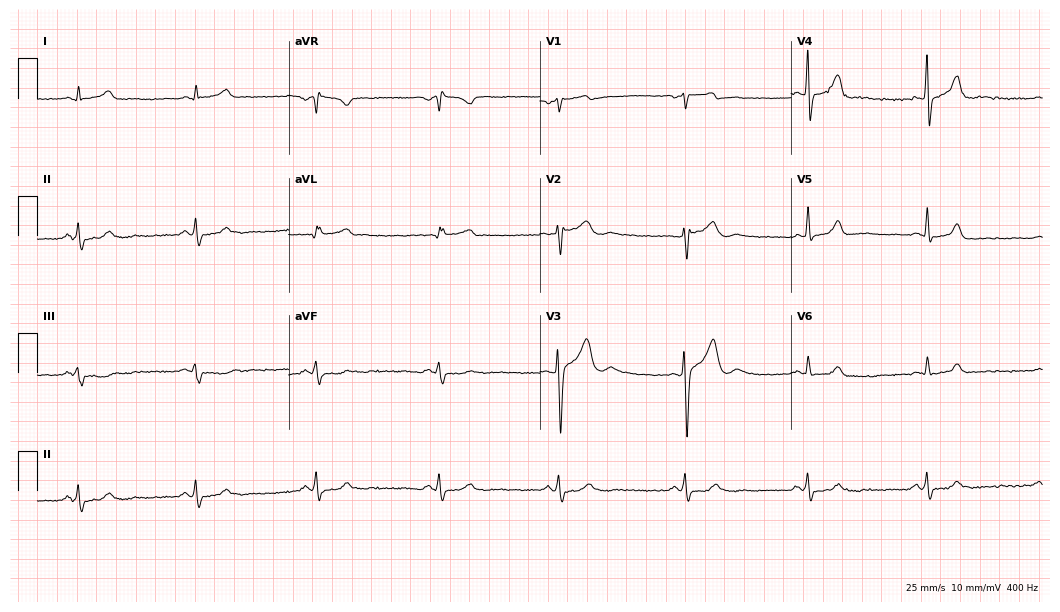
Standard 12-lead ECG recorded from a male patient, 29 years old (10.2-second recording at 400 Hz). The tracing shows sinus bradycardia (a sinus rate of 50 beats per minute or less).